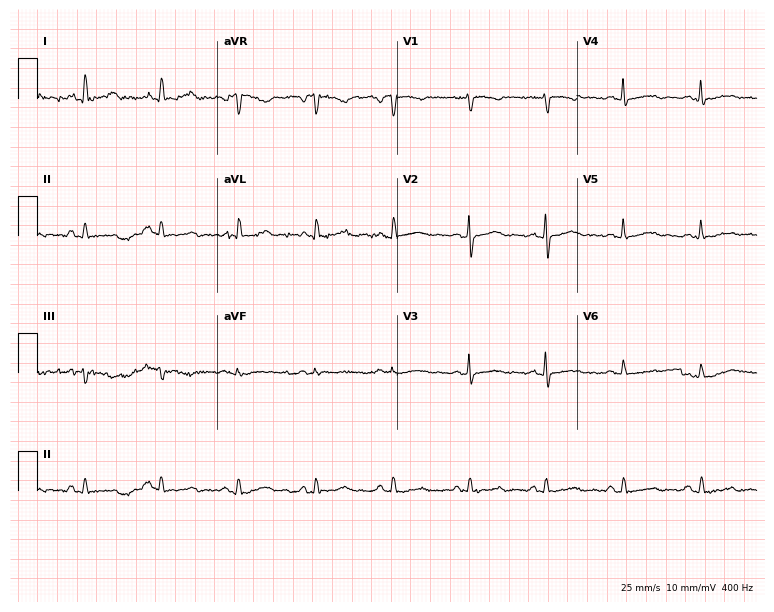
12-lead ECG from a 53-year-old female patient. Screened for six findings — first-degree AV block, right bundle branch block, left bundle branch block, sinus bradycardia, atrial fibrillation, sinus tachycardia — none is recorded.